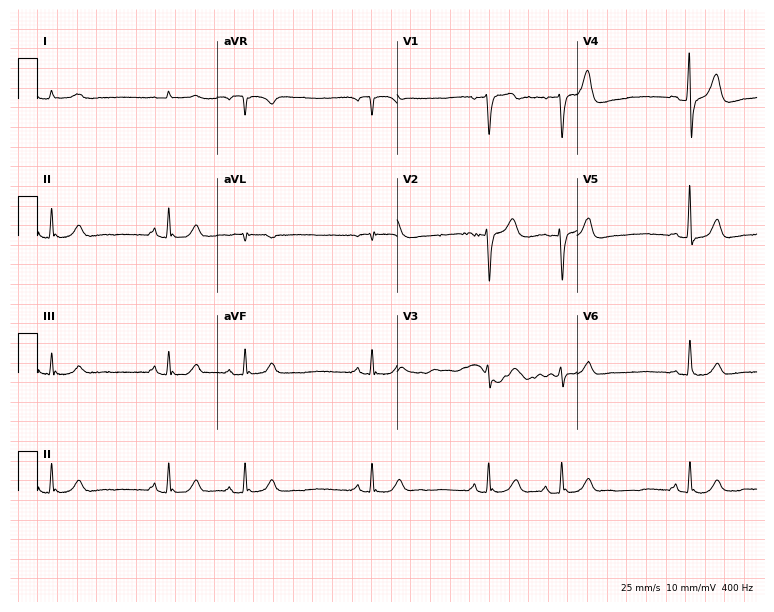
12-lead ECG from an 84-year-old male (7.3-second recording at 400 Hz). No first-degree AV block, right bundle branch block, left bundle branch block, sinus bradycardia, atrial fibrillation or sinus tachycardia recorded for this tracing.